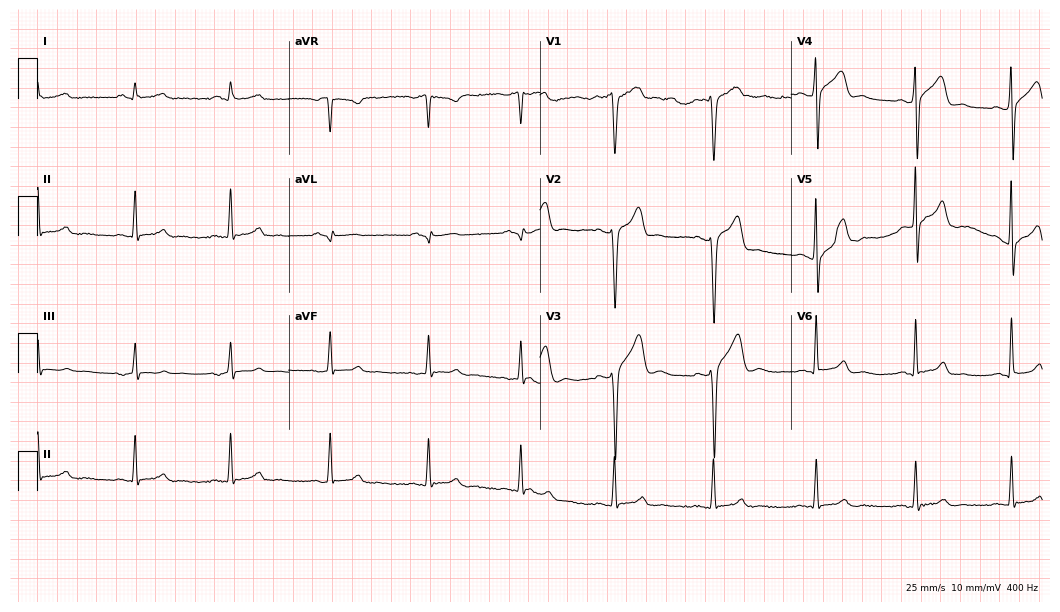
Standard 12-lead ECG recorded from a 48-year-old man. None of these six findings is recorded: first-degree AV block, right bundle branch block (RBBB), left bundle branch block (LBBB), sinus bradycardia, atrial fibrillation (AF), sinus tachycardia.